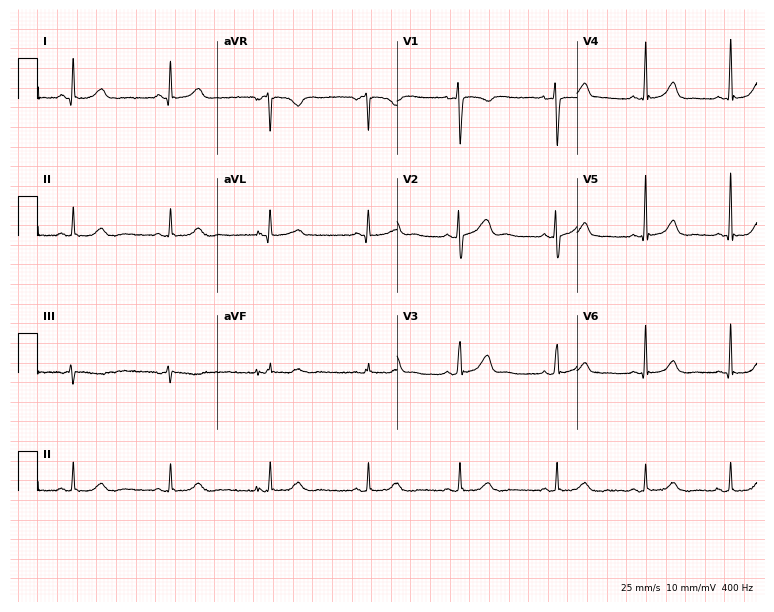
Electrocardiogram (7.3-second recording at 400 Hz), a 25-year-old woman. Overall reading on record: normal ECG.